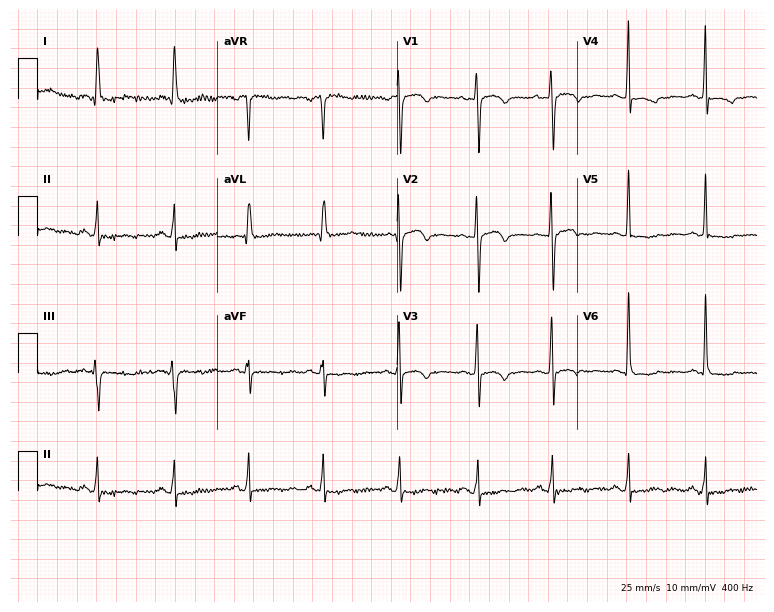
Resting 12-lead electrocardiogram. Patient: a 59-year-old female. None of these six findings is recorded: first-degree AV block, right bundle branch block, left bundle branch block, sinus bradycardia, atrial fibrillation, sinus tachycardia.